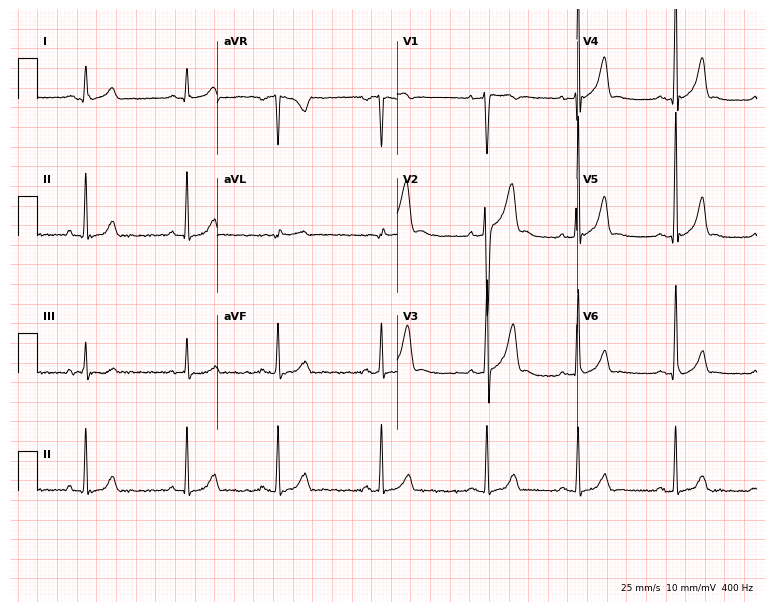
Standard 12-lead ECG recorded from an 18-year-old male patient (7.3-second recording at 400 Hz). None of these six findings is recorded: first-degree AV block, right bundle branch block (RBBB), left bundle branch block (LBBB), sinus bradycardia, atrial fibrillation (AF), sinus tachycardia.